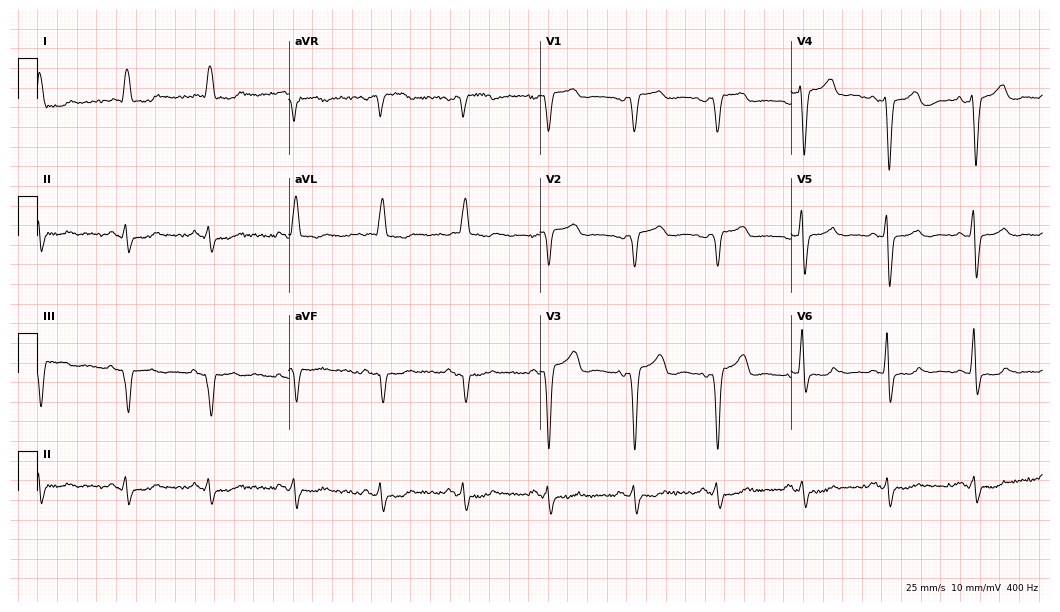
12-lead ECG from a male patient, 79 years old. No first-degree AV block, right bundle branch block, left bundle branch block, sinus bradycardia, atrial fibrillation or sinus tachycardia recorded for this tracing.